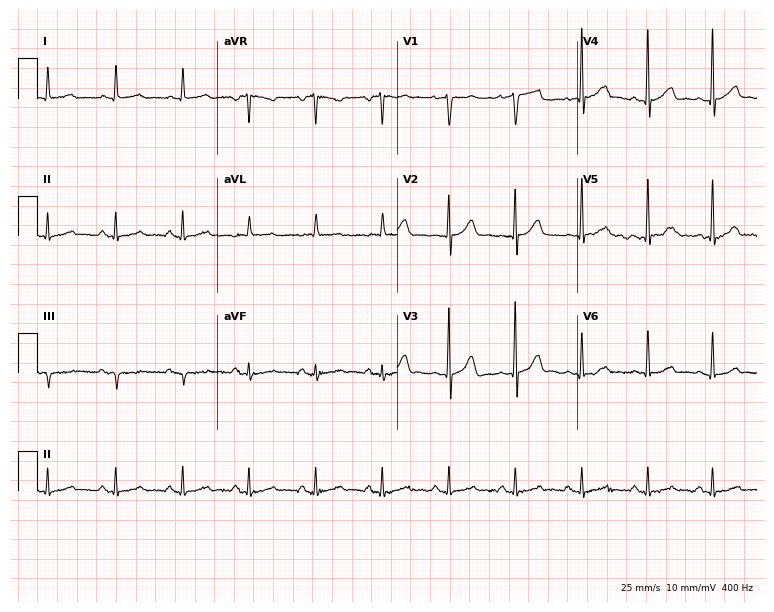
Electrocardiogram, a 68-year-old man. Of the six screened findings (first-degree AV block, right bundle branch block, left bundle branch block, sinus bradycardia, atrial fibrillation, sinus tachycardia), none is recorded. Only these six findings were labelled.